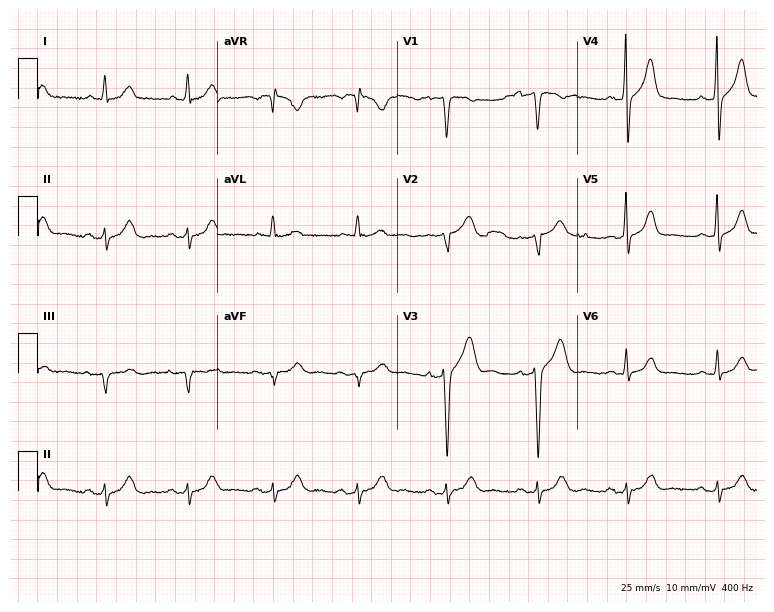
Electrocardiogram (7.3-second recording at 400 Hz), a male patient, 58 years old. Of the six screened findings (first-degree AV block, right bundle branch block, left bundle branch block, sinus bradycardia, atrial fibrillation, sinus tachycardia), none is recorded.